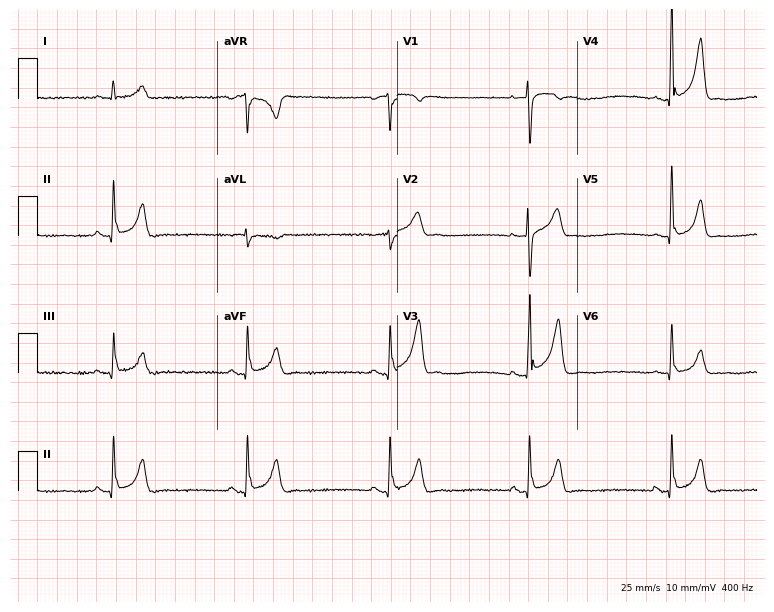
12-lead ECG from a 31-year-old male. No first-degree AV block, right bundle branch block, left bundle branch block, sinus bradycardia, atrial fibrillation or sinus tachycardia recorded for this tracing. Other findings, if any, are not listed.